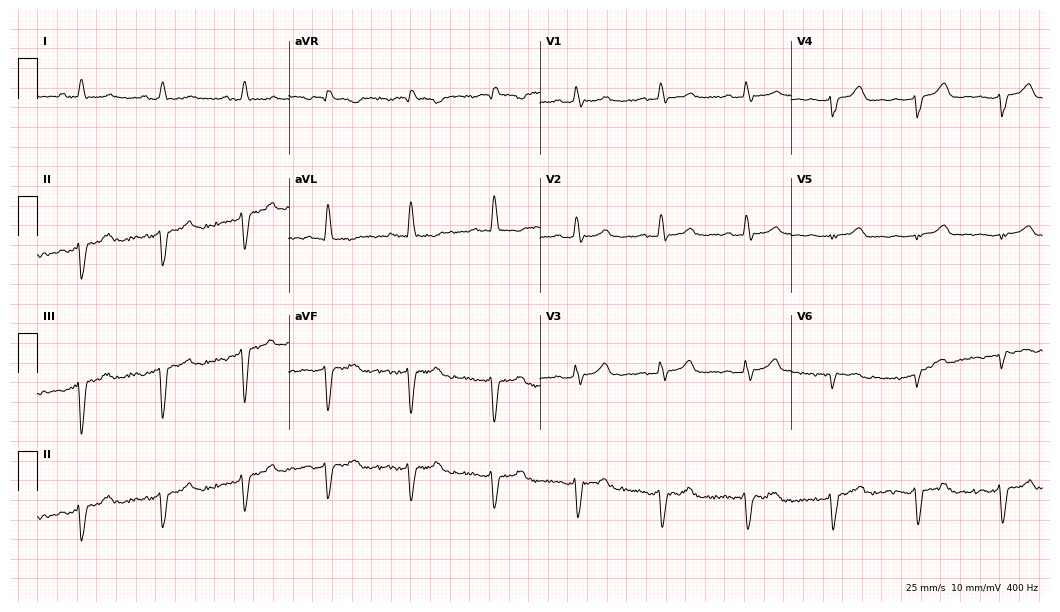
12-lead ECG from a 69-year-old man (10.2-second recording at 400 Hz). No first-degree AV block, right bundle branch block (RBBB), left bundle branch block (LBBB), sinus bradycardia, atrial fibrillation (AF) or sinus tachycardia recorded for this tracing. Findings outside these six are not listed.